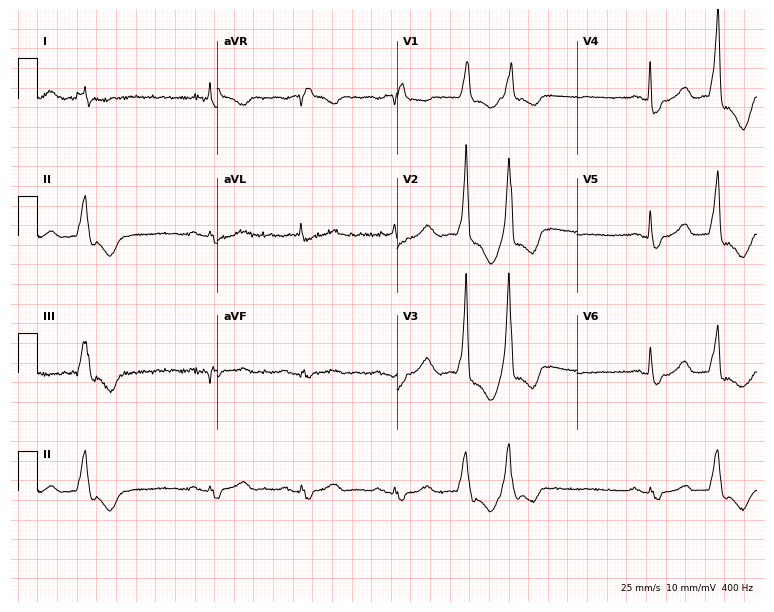
Standard 12-lead ECG recorded from a man, 79 years old. The tracing shows right bundle branch block.